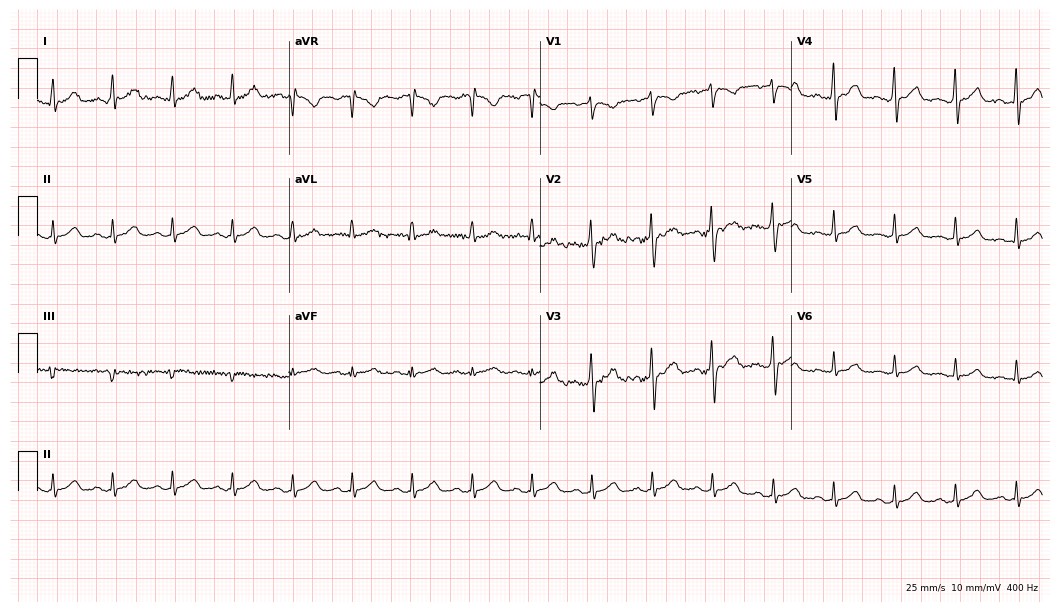
Electrocardiogram (10.2-second recording at 400 Hz), a female patient, 25 years old. Overall reading on record: normal ECG.